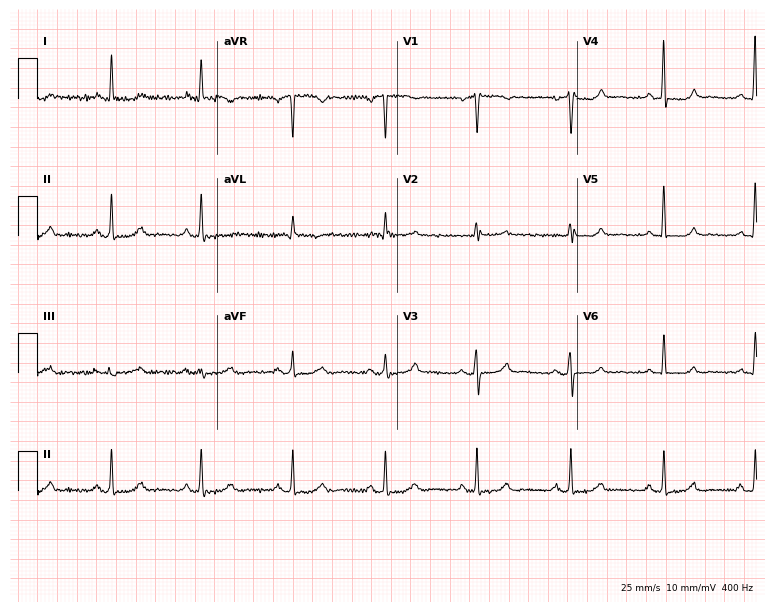
Electrocardiogram (7.3-second recording at 400 Hz), a 54-year-old female patient. Of the six screened findings (first-degree AV block, right bundle branch block, left bundle branch block, sinus bradycardia, atrial fibrillation, sinus tachycardia), none is recorded.